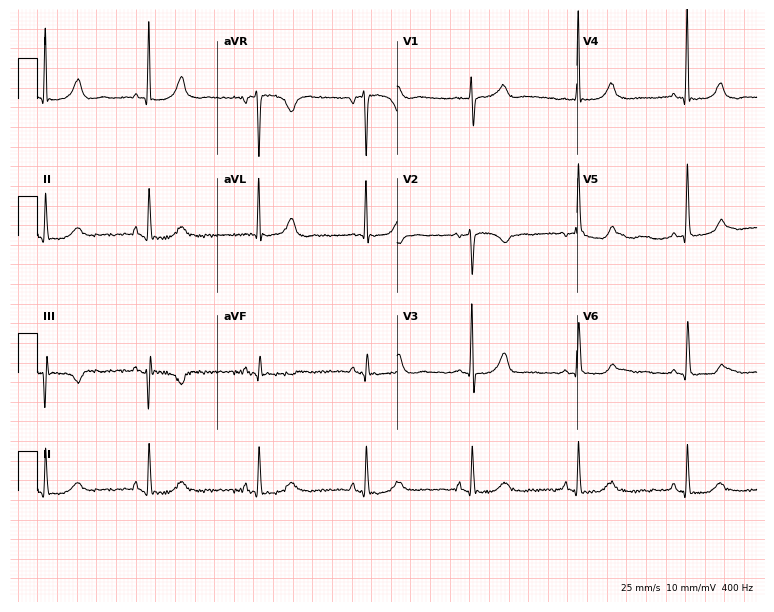
ECG — an 85-year-old male. Screened for six findings — first-degree AV block, right bundle branch block, left bundle branch block, sinus bradycardia, atrial fibrillation, sinus tachycardia — none is recorded. Only these six findings were labelled.